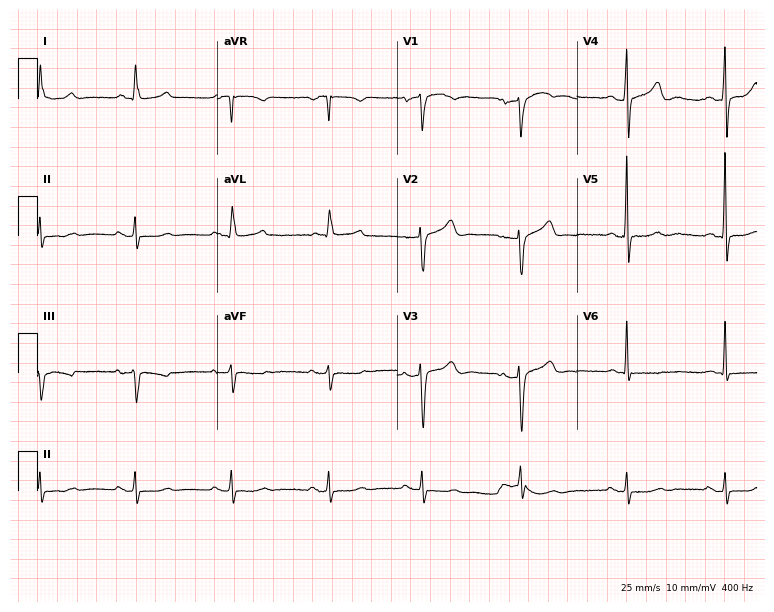
Electrocardiogram (7.3-second recording at 400 Hz), an 85-year-old male. Of the six screened findings (first-degree AV block, right bundle branch block, left bundle branch block, sinus bradycardia, atrial fibrillation, sinus tachycardia), none is recorded.